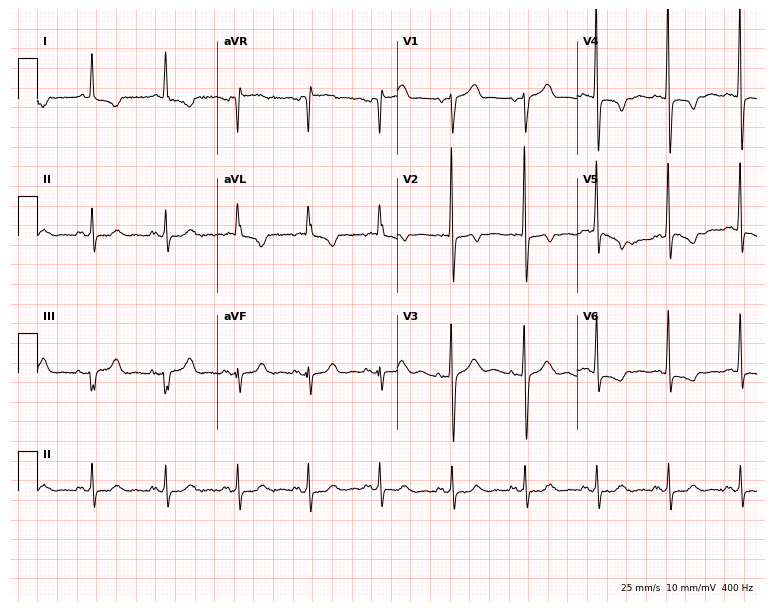
Standard 12-lead ECG recorded from a 71-year-old woman (7.3-second recording at 400 Hz). None of these six findings is recorded: first-degree AV block, right bundle branch block, left bundle branch block, sinus bradycardia, atrial fibrillation, sinus tachycardia.